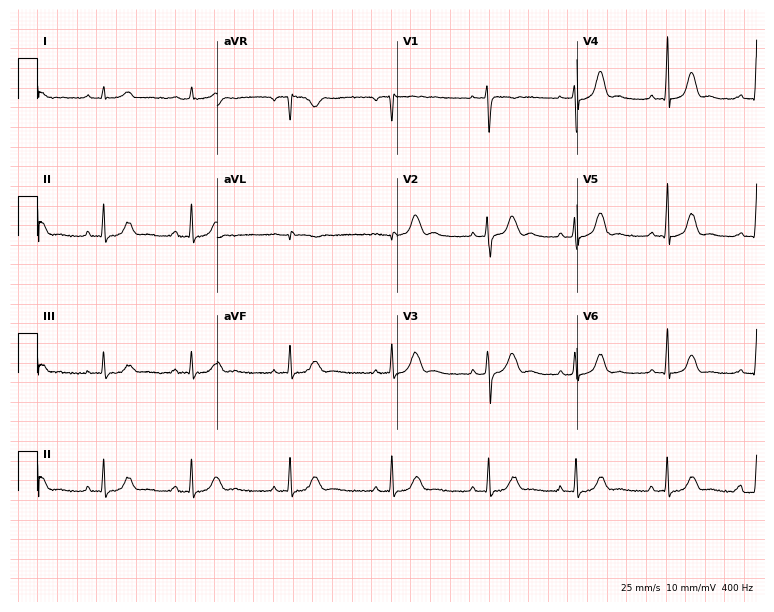
Standard 12-lead ECG recorded from a 22-year-old woman (7.3-second recording at 400 Hz). None of these six findings is recorded: first-degree AV block, right bundle branch block, left bundle branch block, sinus bradycardia, atrial fibrillation, sinus tachycardia. Other findings, if any, are not listed.